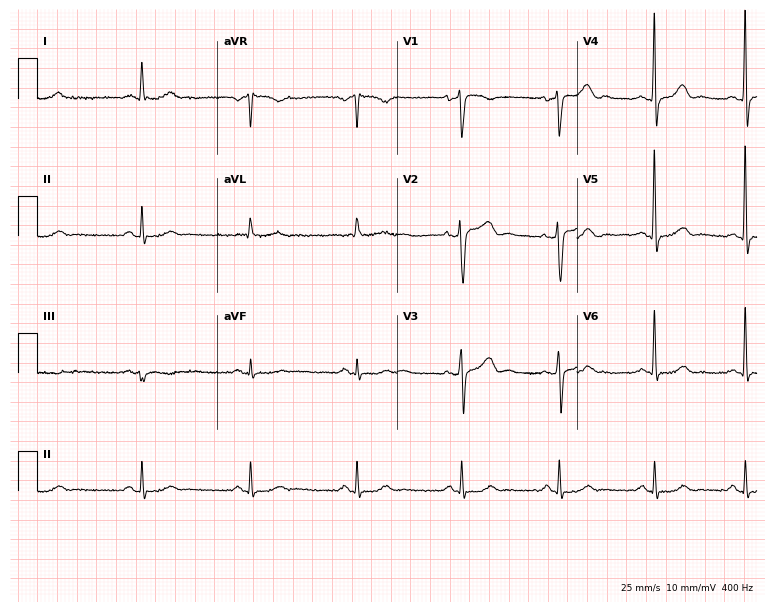
Standard 12-lead ECG recorded from a male, 63 years old. Read as a normal ECG.